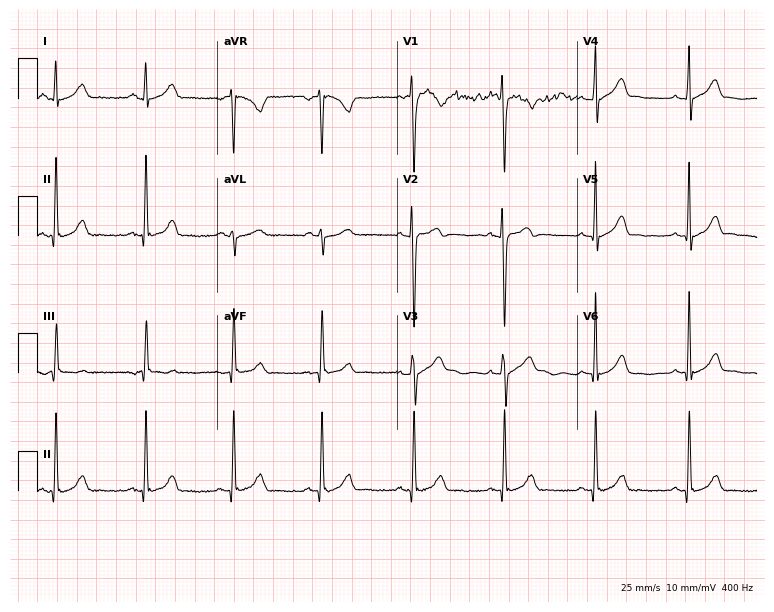
Resting 12-lead electrocardiogram (7.3-second recording at 400 Hz). Patient: a male, 20 years old. None of these six findings is recorded: first-degree AV block, right bundle branch block, left bundle branch block, sinus bradycardia, atrial fibrillation, sinus tachycardia. Other findings, if any, are not listed.